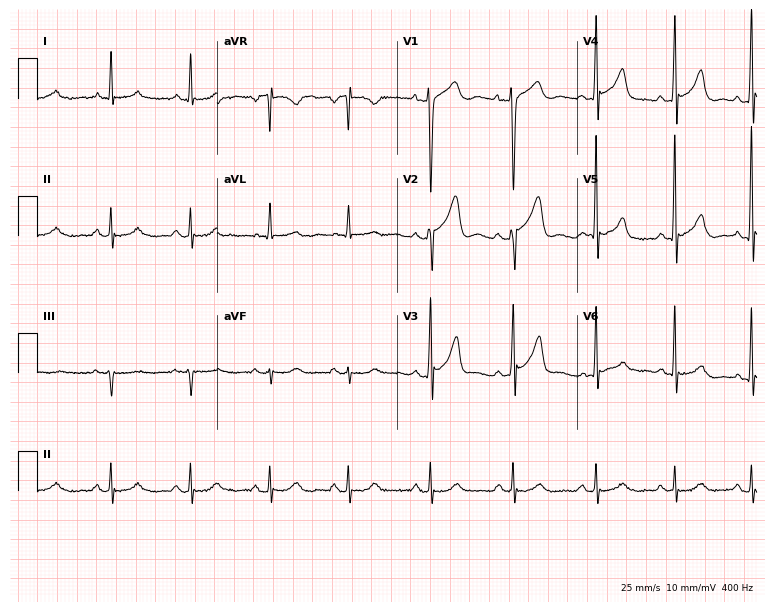
12-lead ECG from a 58-year-old male patient. No first-degree AV block, right bundle branch block, left bundle branch block, sinus bradycardia, atrial fibrillation or sinus tachycardia recorded for this tracing.